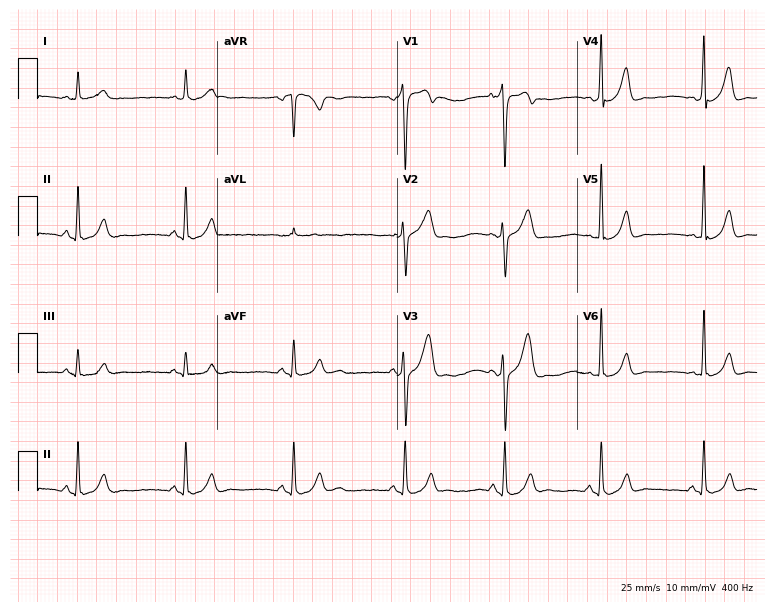
Electrocardiogram, a man, 38 years old. Of the six screened findings (first-degree AV block, right bundle branch block (RBBB), left bundle branch block (LBBB), sinus bradycardia, atrial fibrillation (AF), sinus tachycardia), none is recorded. Only these six findings were labelled.